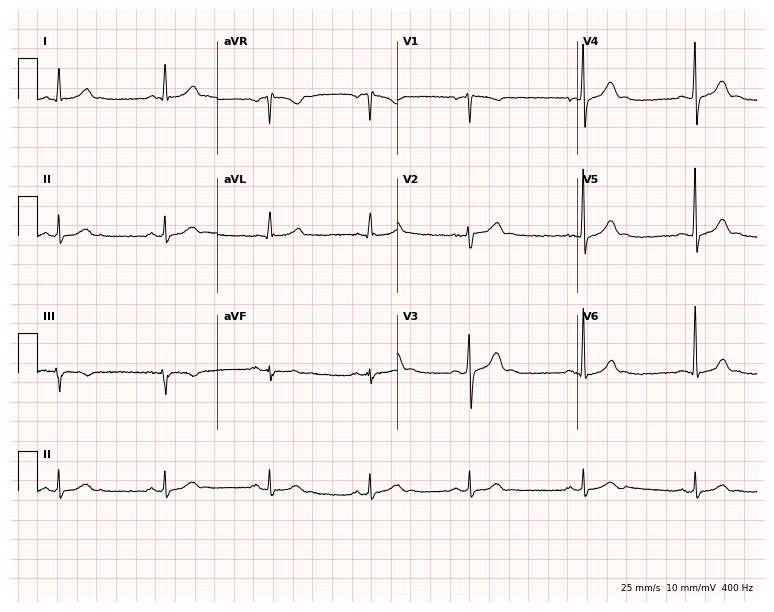
Resting 12-lead electrocardiogram. Patient: a 47-year-old male. Read as a normal ECG.